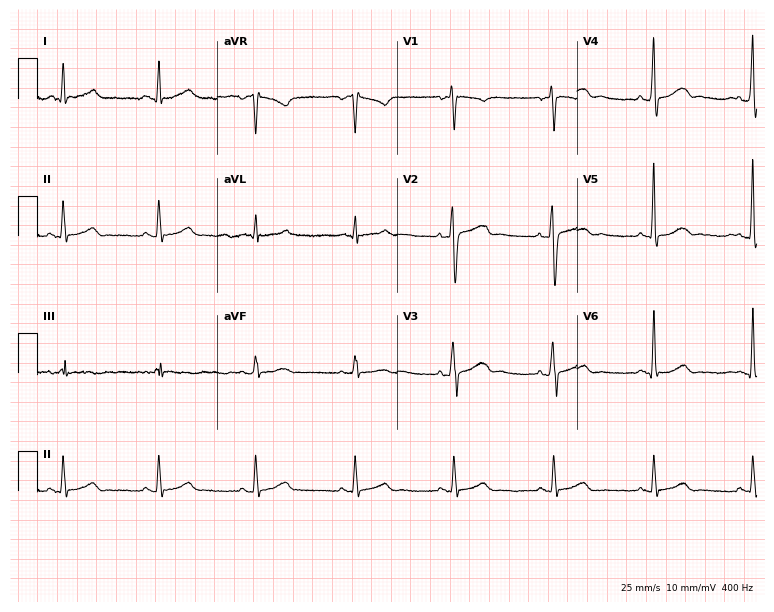
ECG (7.3-second recording at 400 Hz) — a 40-year-old man. Labelled as a normal ECG.